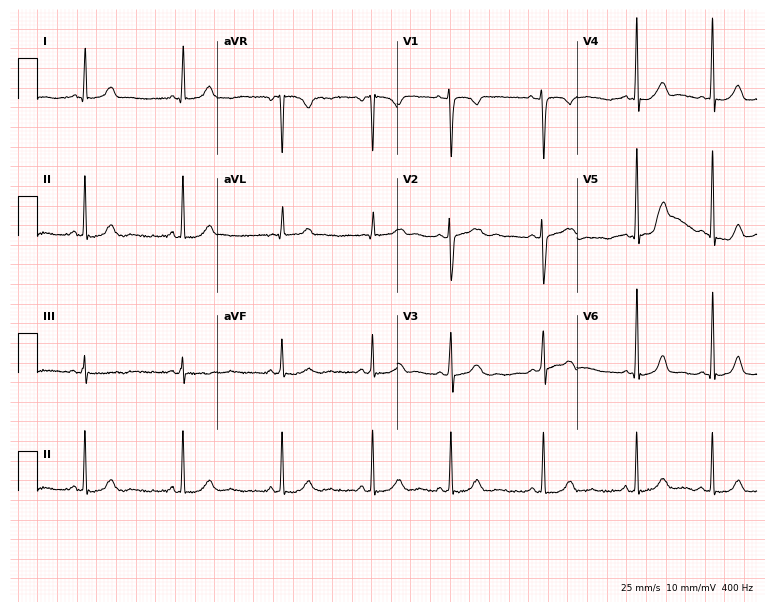
ECG (7.3-second recording at 400 Hz) — a woman, 28 years old. Labelled as a normal ECG.